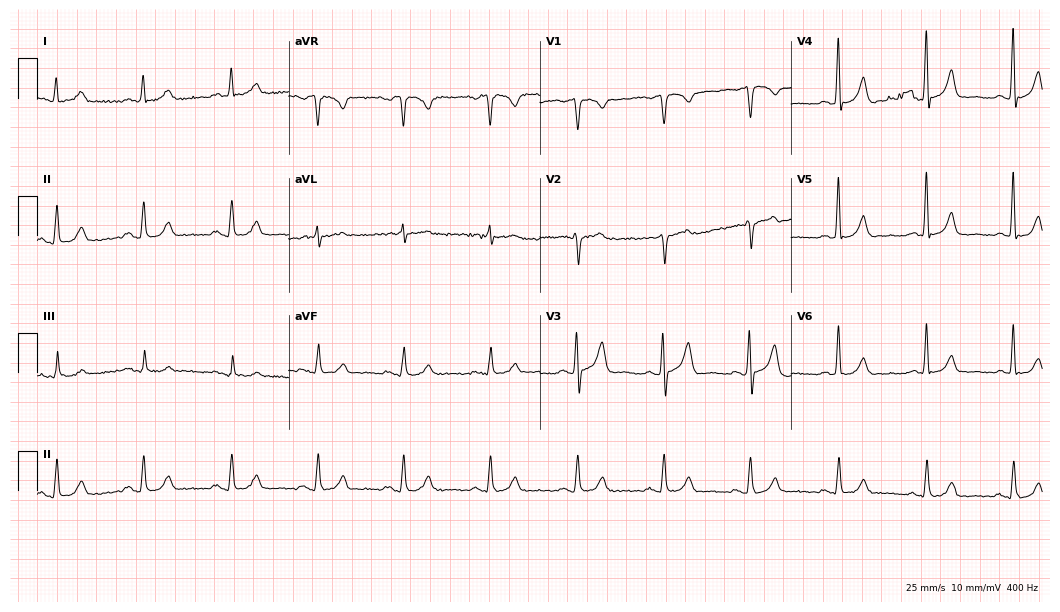
12-lead ECG (10.2-second recording at 400 Hz) from a 55-year-old male. Labelled as a normal ECG.